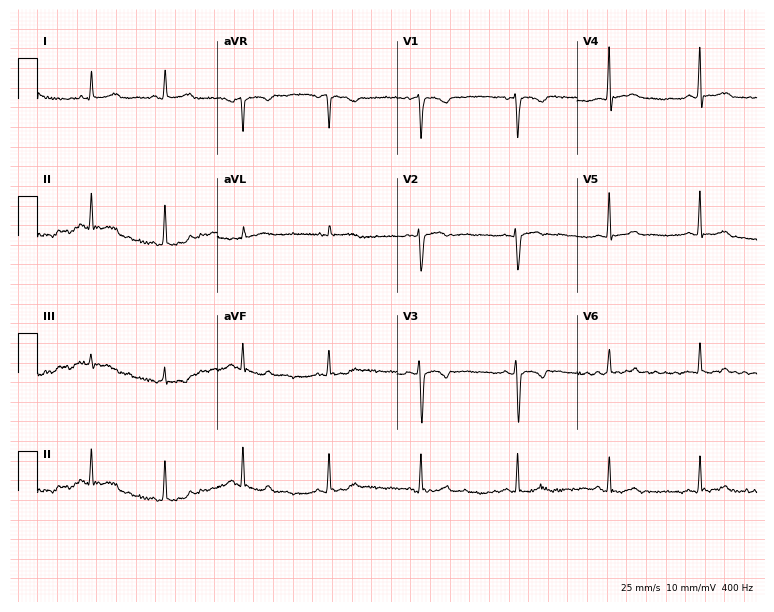
Electrocardiogram, a female patient, 26 years old. Overall reading on record: normal ECG.